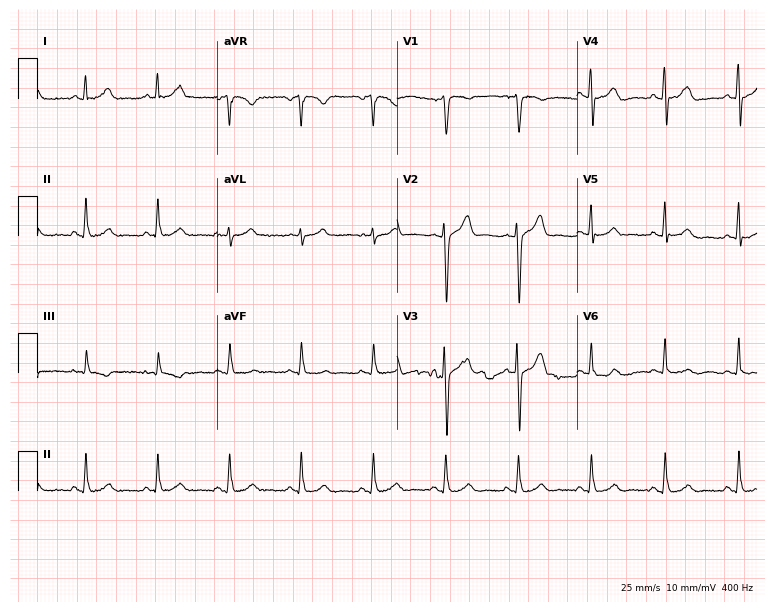
12-lead ECG (7.3-second recording at 400 Hz) from an 80-year-old man. Labelled as a normal ECG.